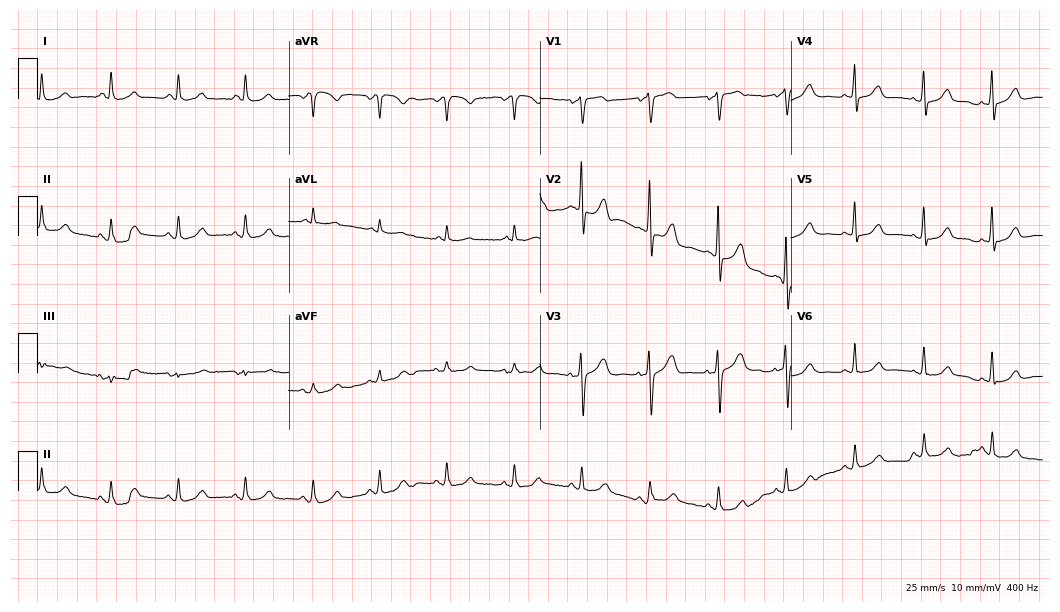
Resting 12-lead electrocardiogram. Patient: a female, 61 years old. Read as a normal ECG.